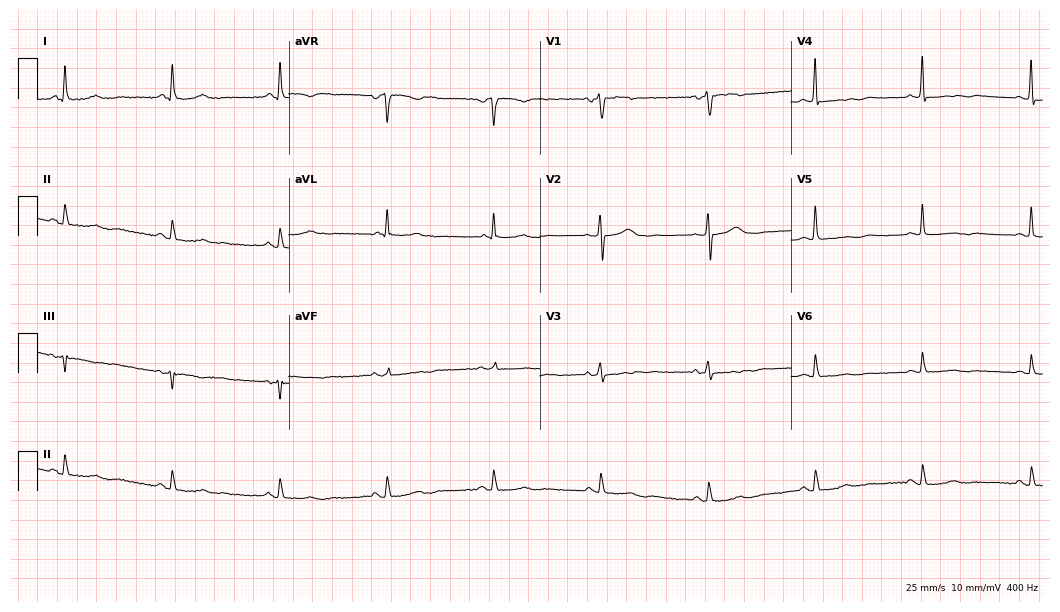
Electrocardiogram, a female, 77 years old. Of the six screened findings (first-degree AV block, right bundle branch block, left bundle branch block, sinus bradycardia, atrial fibrillation, sinus tachycardia), none is recorded.